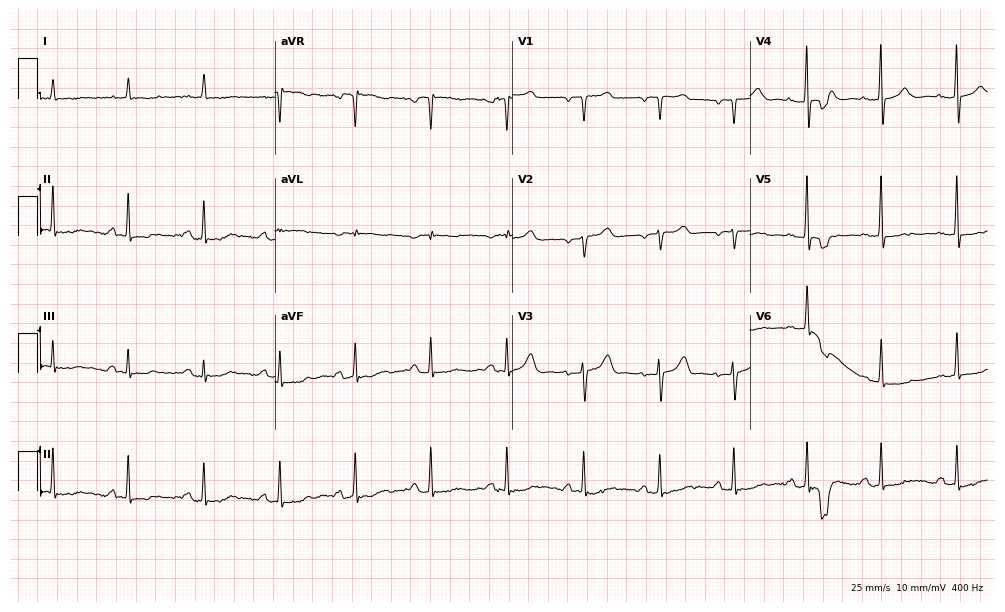
ECG — a female, 78 years old. Screened for six findings — first-degree AV block, right bundle branch block, left bundle branch block, sinus bradycardia, atrial fibrillation, sinus tachycardia — none is recorded.